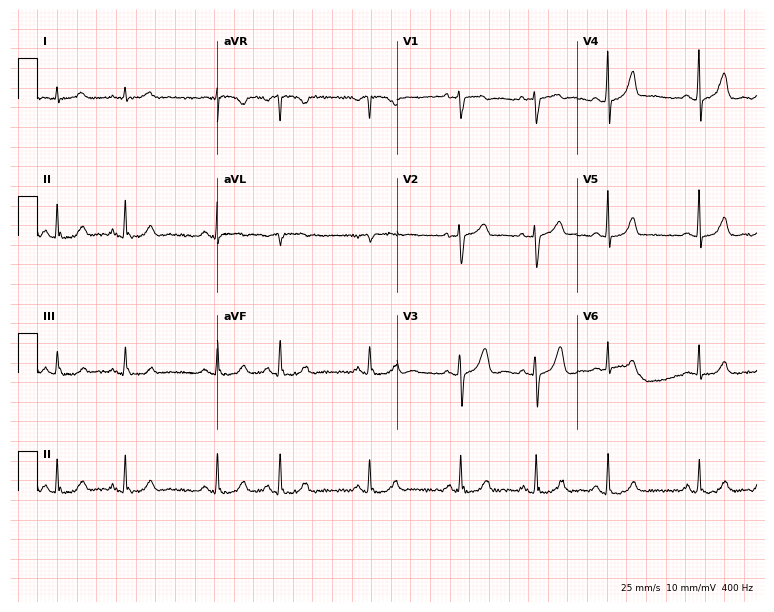
Resting 12-lead electrocardiogram (7.3-second recording at 400 Hz). Patient: a female, 65 years old. None of these six findings is recorded: first-degree AV block, right bundle branch block, left bundle branch block, sinus bradycardia, atrial fibrillation, sinus tachycardia.